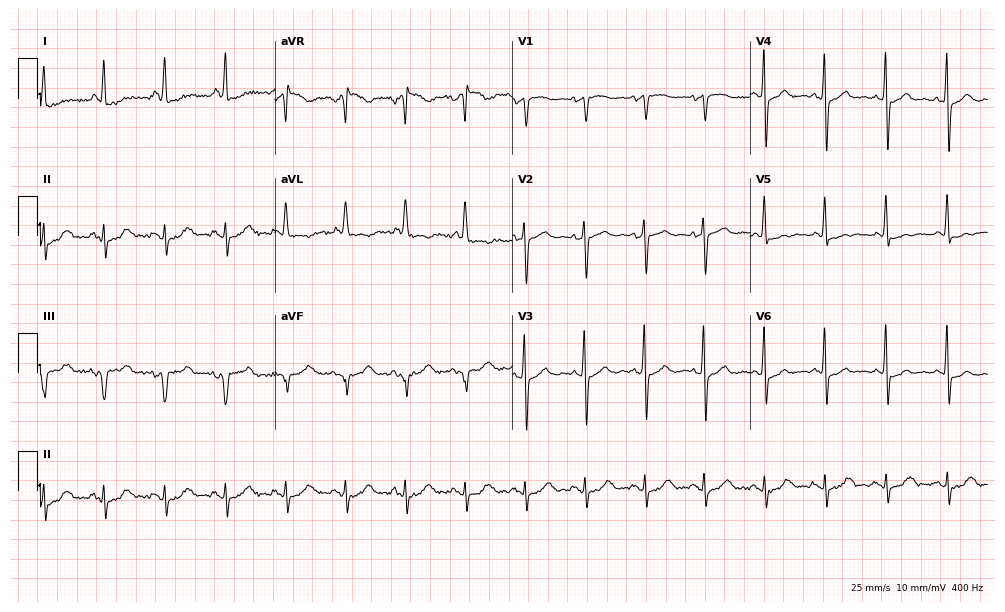
12-lead ECG from a 73-year-old woman. No first-degree AV block, right bundle branch block, left bundle branch block, sinus bradycardia, atrial fibrillation or sinus tachycardia recorded for this tracing. Only these six findings were labelled.